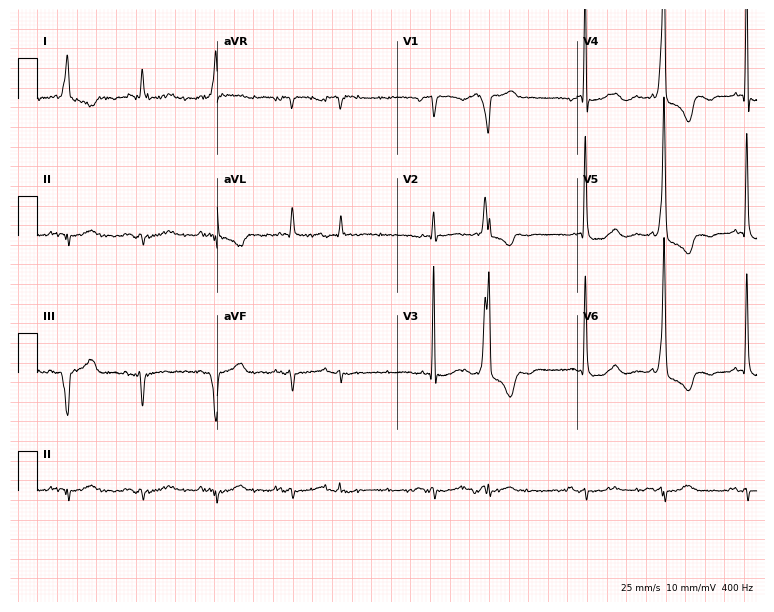
Resting 12-lead electrocardiogram. Patient: an 81-year-old man. None of these six findings is recorded: first-degree AV block, right bundle branch block, left bundle branch block, sinus bradycardia, atrial fibrillation, sinus tachycardia. Other findings, if any, are not listed.